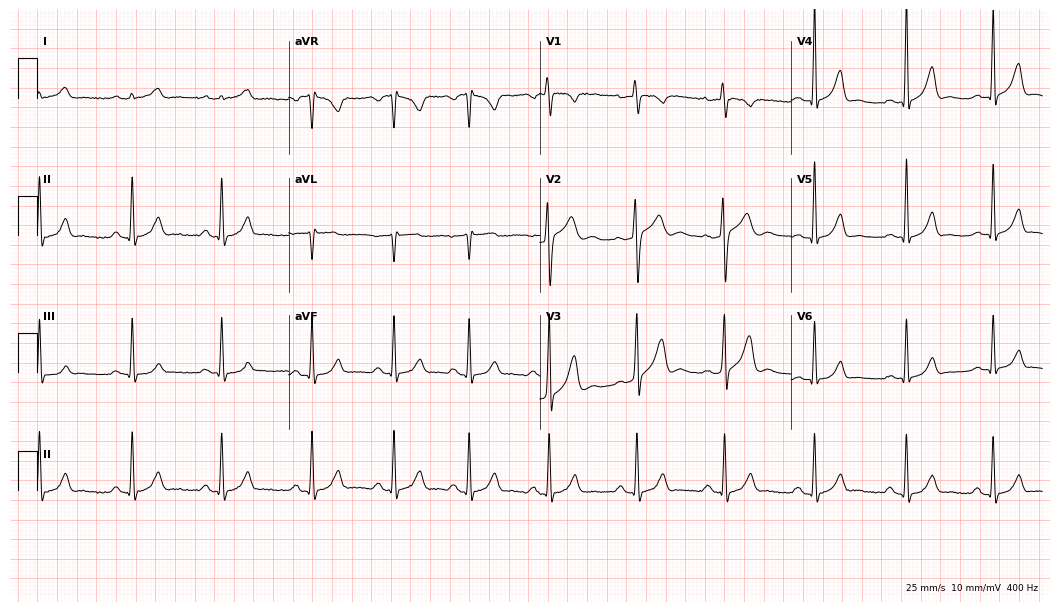
Standard 12-lead ECG recorded from a 42-year-old male patient. Read as a normal ECG.